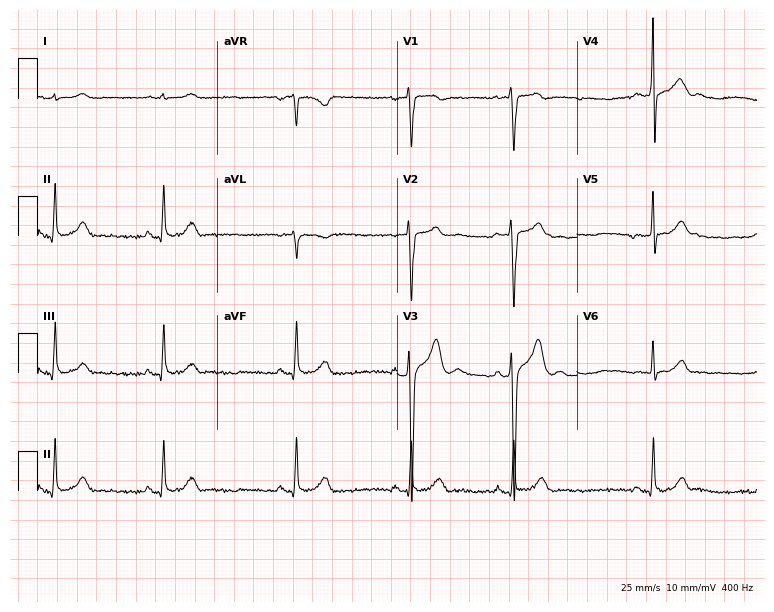
12-lead ECG from a 17-year-old male. No first-degree AV block, right bundle branch block, left bundle branch block, sinus bradycardia, atrial fibrillation or sinus tachycardia recorded for this tracing.